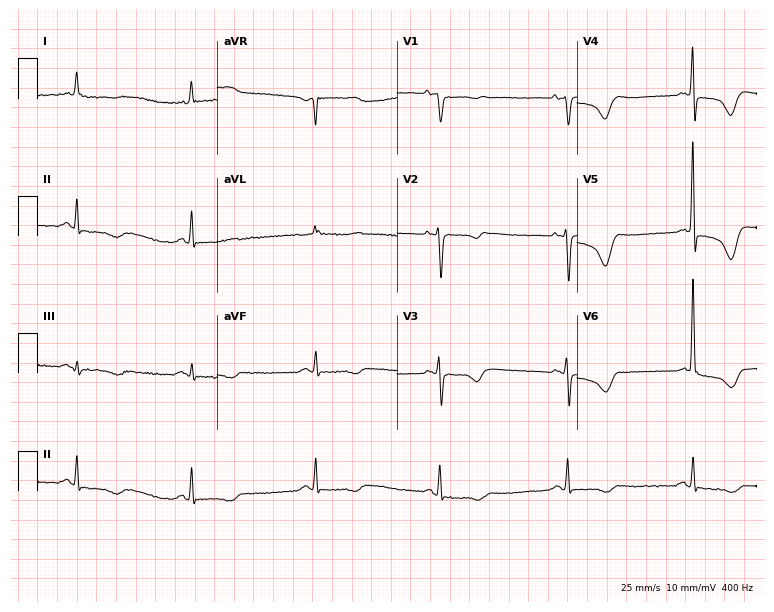
12-lead ECG from a female patient, 78 years old (7.3-second recording at 400 Hz). Shows sinus bradycardia (a sinus rate of 50 beats per minute or less).